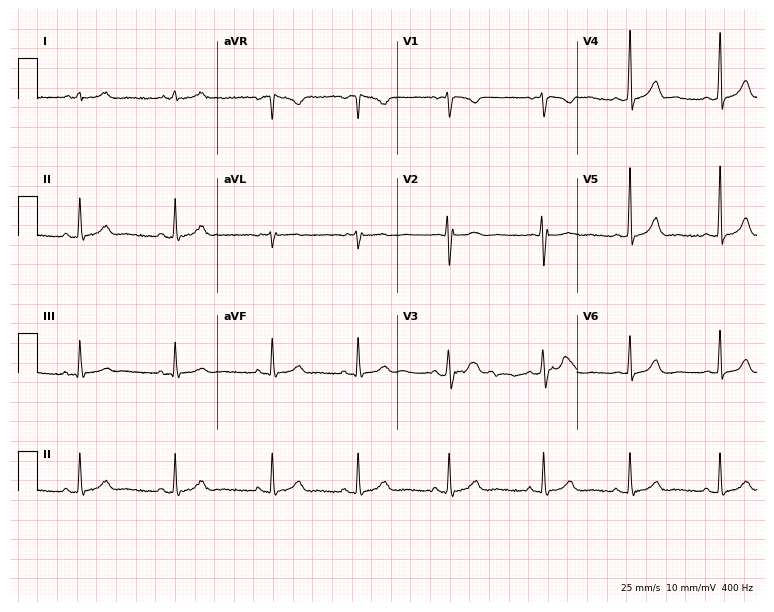
12-lead ECG from a 21-year-old woman (7.3-second recording at 400 Hz). Recorded interpretation: within normal limits.